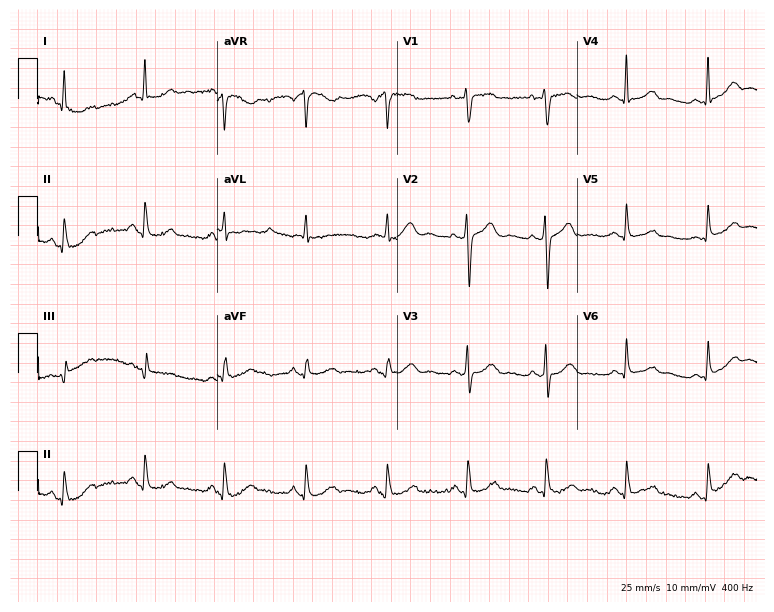
Electrocardiogram (7.3-second recording at 400 Hz), a female patient, 64 years old. Overall reading on record: normal ECG.